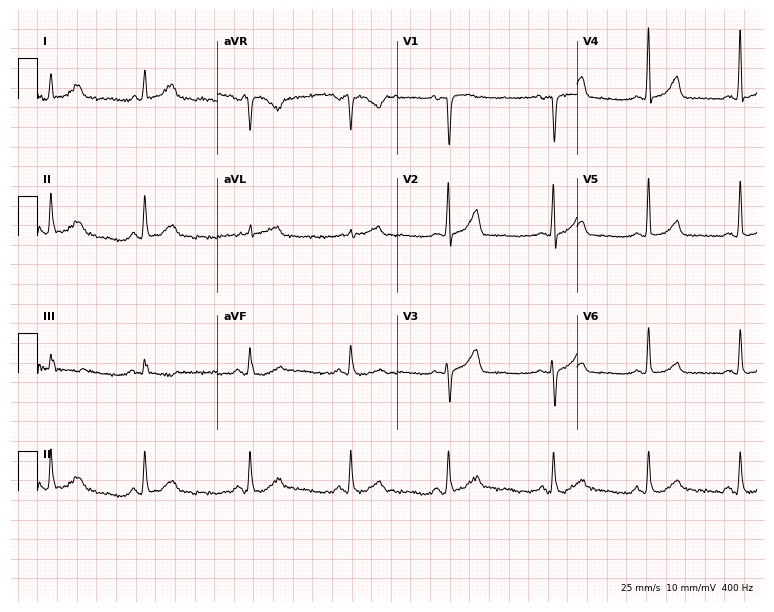
Standard 12-lead ECG recorded from a 67-year-old female patient (7.3-second recording at 400 Hz). Read as a normal ECG.